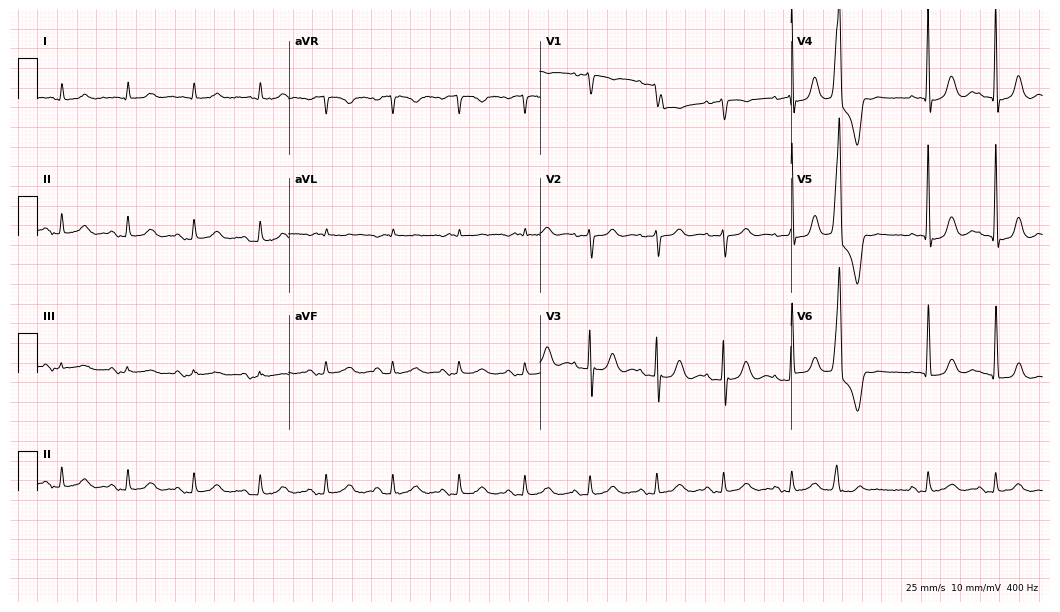
12-lead ECG (10.2-second recording at 400 Hz) from an 85-year-old male patient. Screened for six findings — first-degree AV block, right bundle branch block (RBBB), left bundle branch block (LBBB), sinus bradycardia, atrial fibrillation (AF), sinus tachycardia — none is recorded. Only these six findings were labelled.